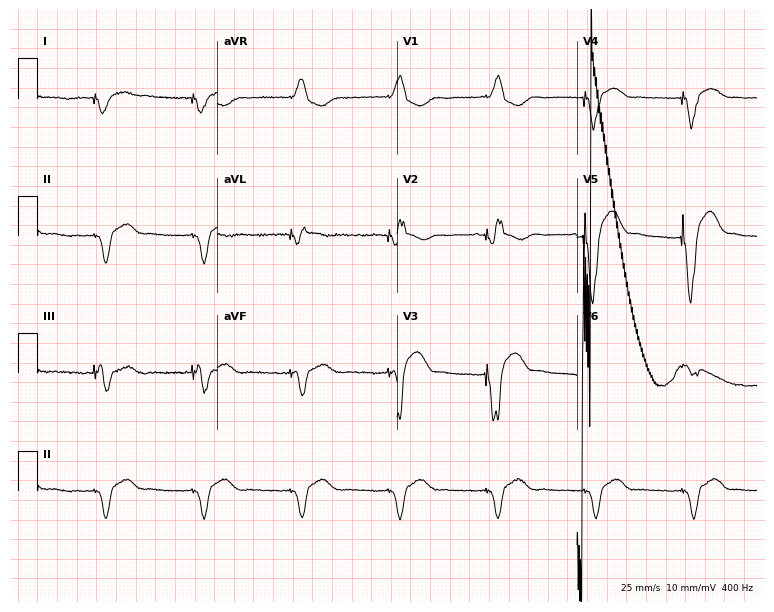
12-lead ECG from a 54-year-old male. Screened for six findings — first-degree AV block, right bundle branch block, left bundle branch block, sinus bradycardia, atrial fibrillation, sinus tachycardia — none is recorded. Other findings, if any, are not listed.